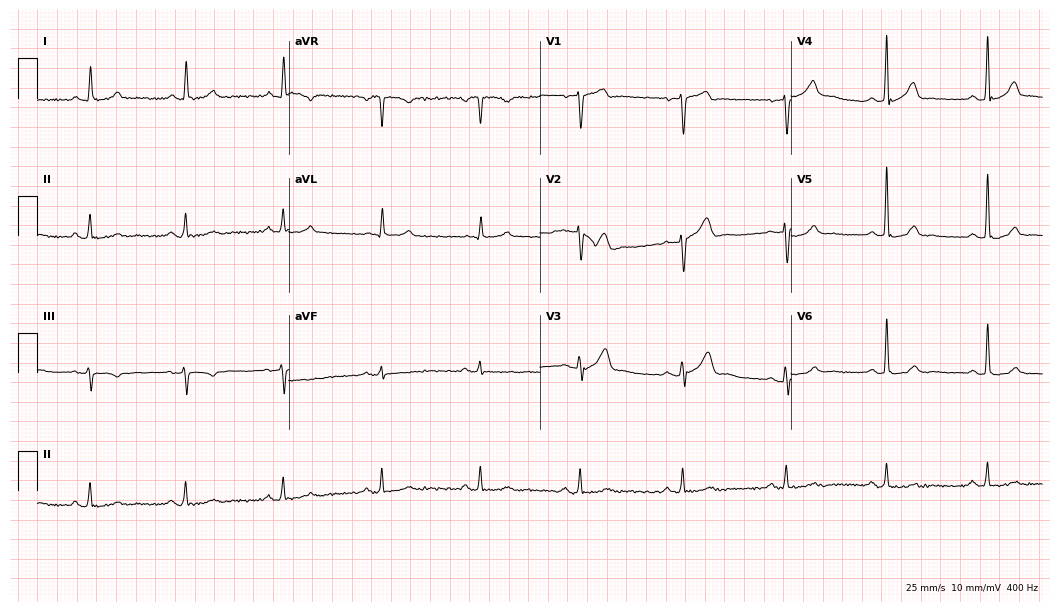
Electrocardiogram, a 63-year-old male. Of the six screened findings (first-degree AV block, right bundle branch block, left bundle branch block, sinus bradycardia, atrial fibrillation, sinus tachycardia), none is recorded. Other findings, if any, are not listed.